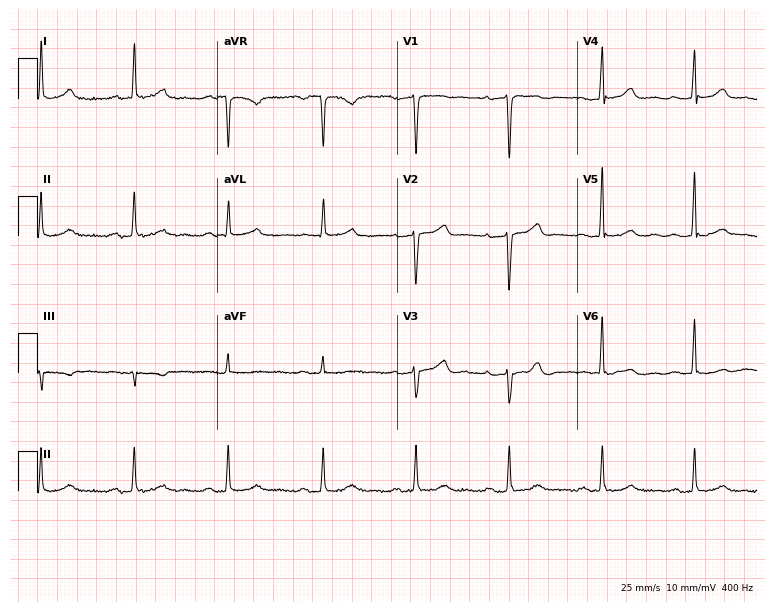
Electrocardiogram (7.3-second recording at 400 Hz), a female, 63 years old. Of the six screened findings (first-degree AV block, right bundle branch block, left bundle branch block, sinus bradycardia, atrial fibrillation, sinus tachycardia), none is recorded. Findings outside these six are not listed.